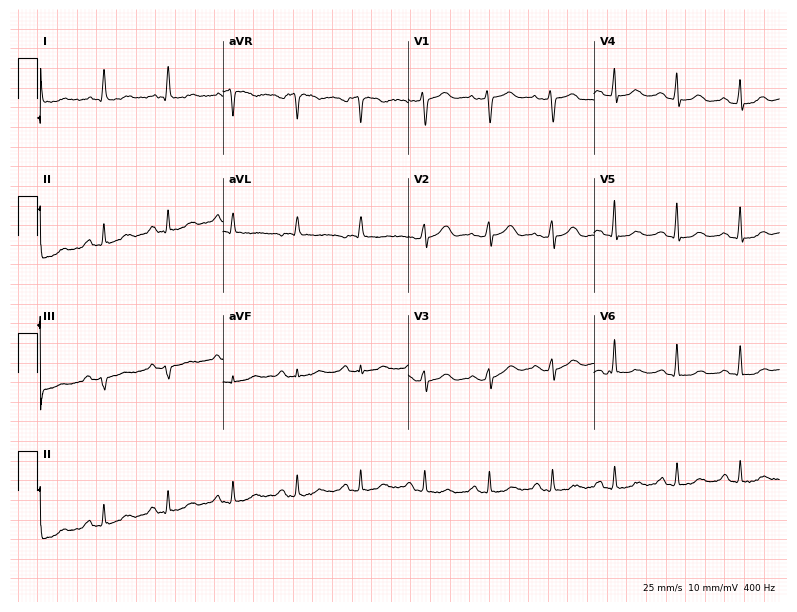
Resting 12-lead electrocardiogram (7.6-second recording at 400 Hz). Patient: a female, 61 years old. Read as a normal ECG.